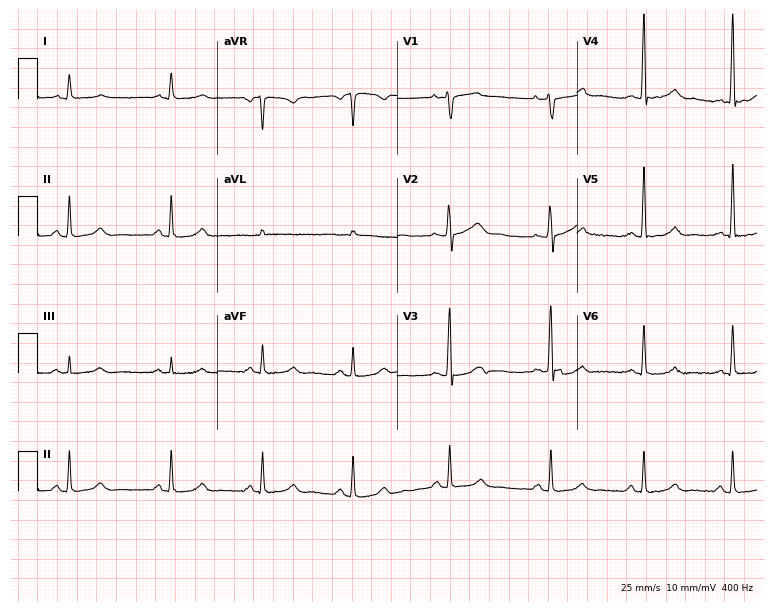
12-lead ECG from a 47-year-old female patient (7.3-second recording at 400 Hz). Recorded interpretation: within normal limits.